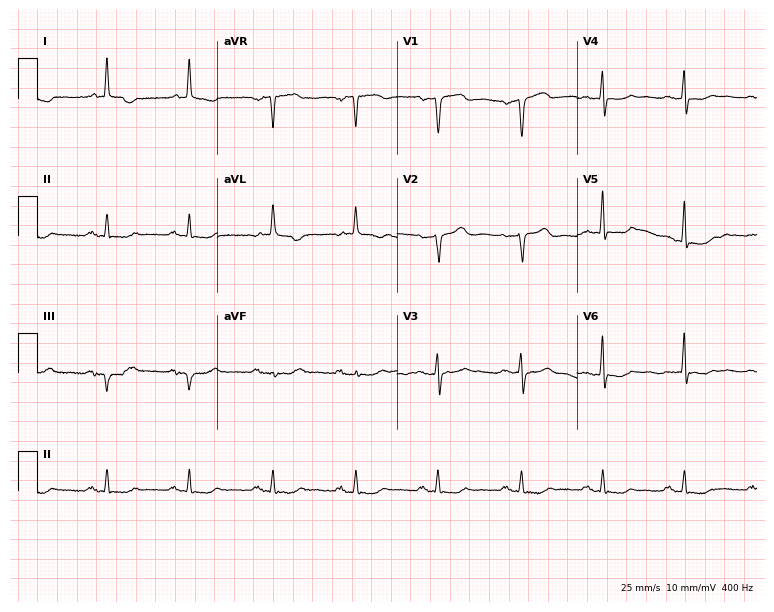
Resting 12-lead electrocardiogram (7.3-second recording at 400 Hz). Patient: a 72-year-old female. None of these six findings is recorded: first-degree AV block, right bundle branch block, left bundle branch block, sinus bradycardia, atrial fibrillation, sinus tachycardia. Other findings, if any, are not listed.